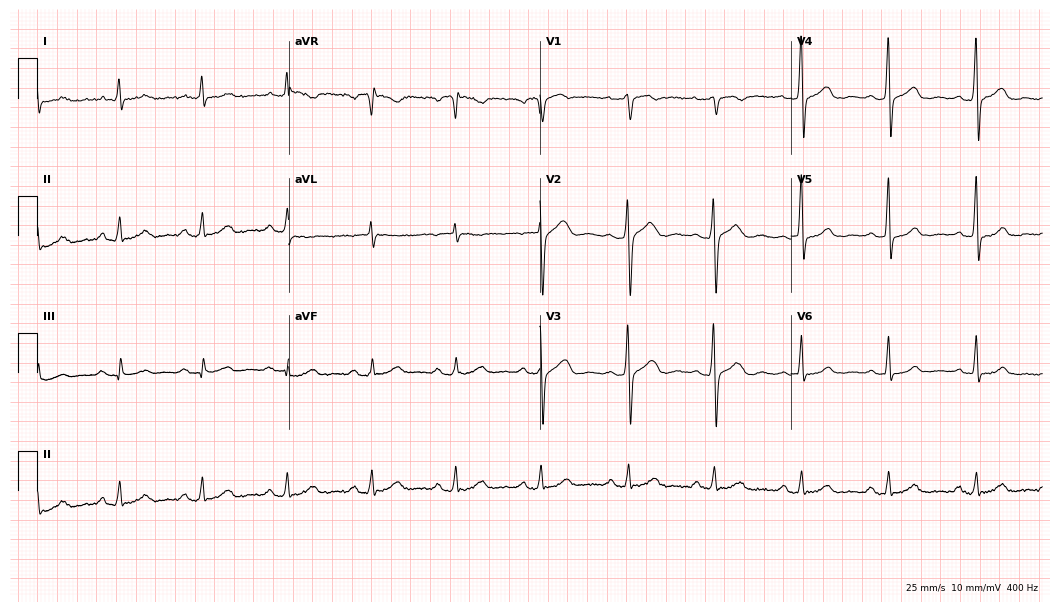
12-lead ECG from a male patient, 53 years old. Labelled as a normal ECG.